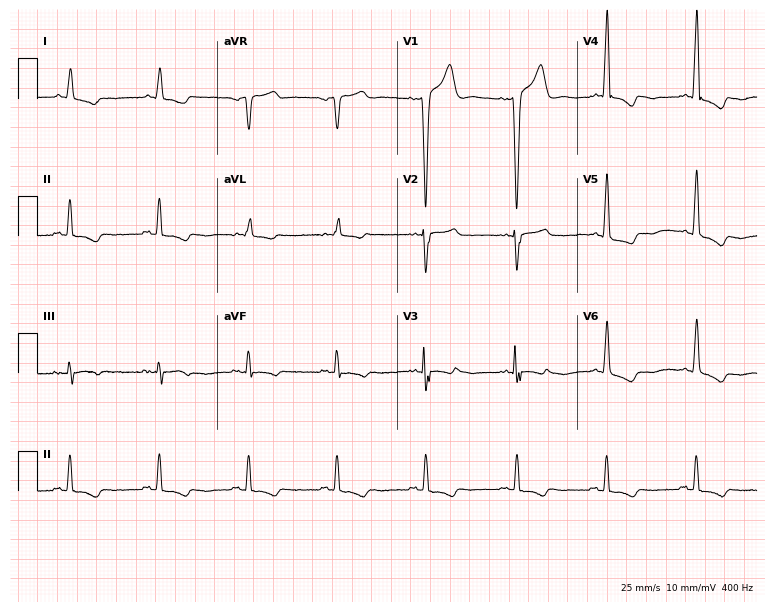
Electrocardiogram (7.3-second recording at 400 Hz), a 59-year-old man. Of the six screened findings (first-degree AV block, right bundle branch block, left bundle branch block, sinus bradycardia, atrial fibrillation, sinus tachycardia), none is recorded.